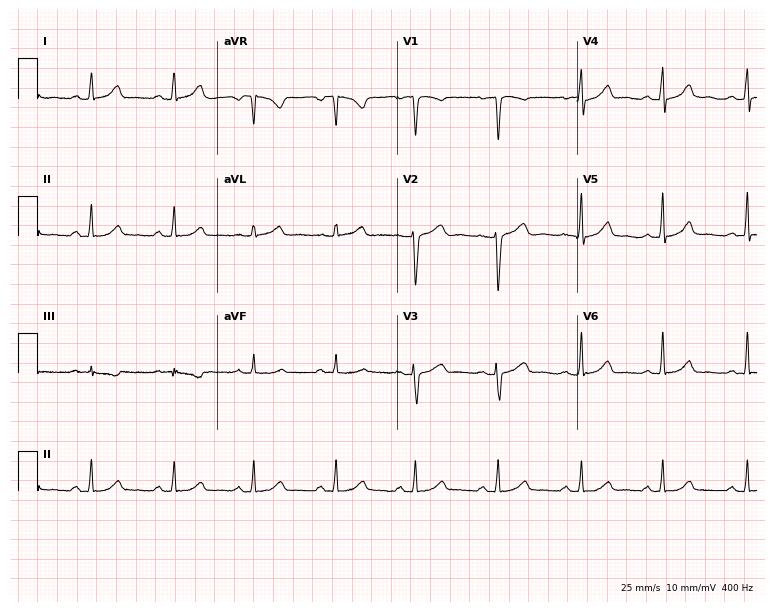
Electrocardiogram, a 39-year-old female patient. Overall reading on record: normal ECG.